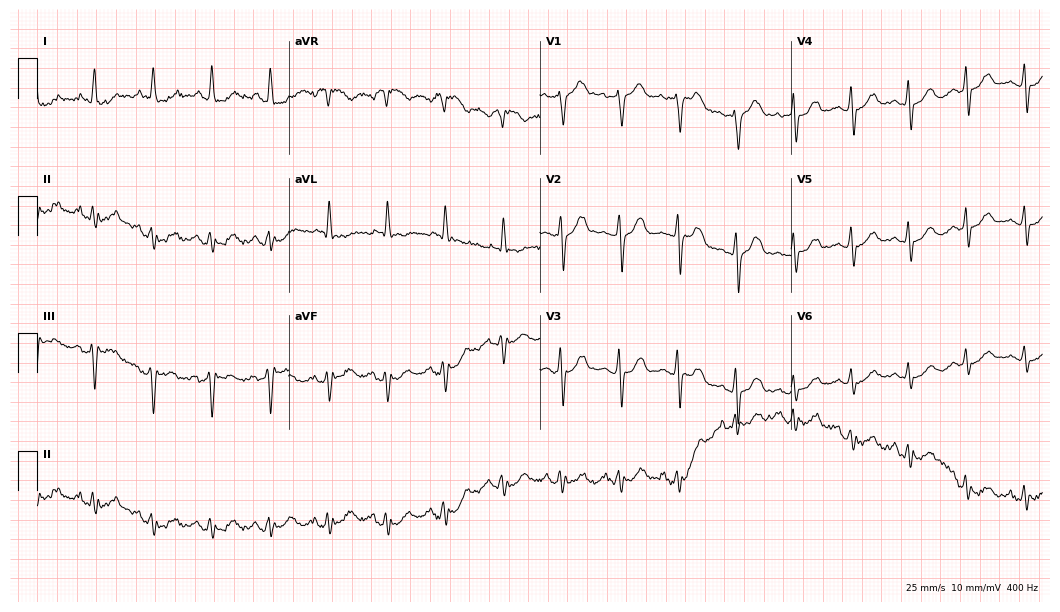
12-lead ECG (10.2-second recording at 400 Hz) from a man, 49 years old. Screened for six findings — first-degree AV block, right bundle branch block, left bundle branch block, sinus bradycardia, atrial fibrillation, sinus tachycardia — none is recorded. Findings outside these six are not listed.